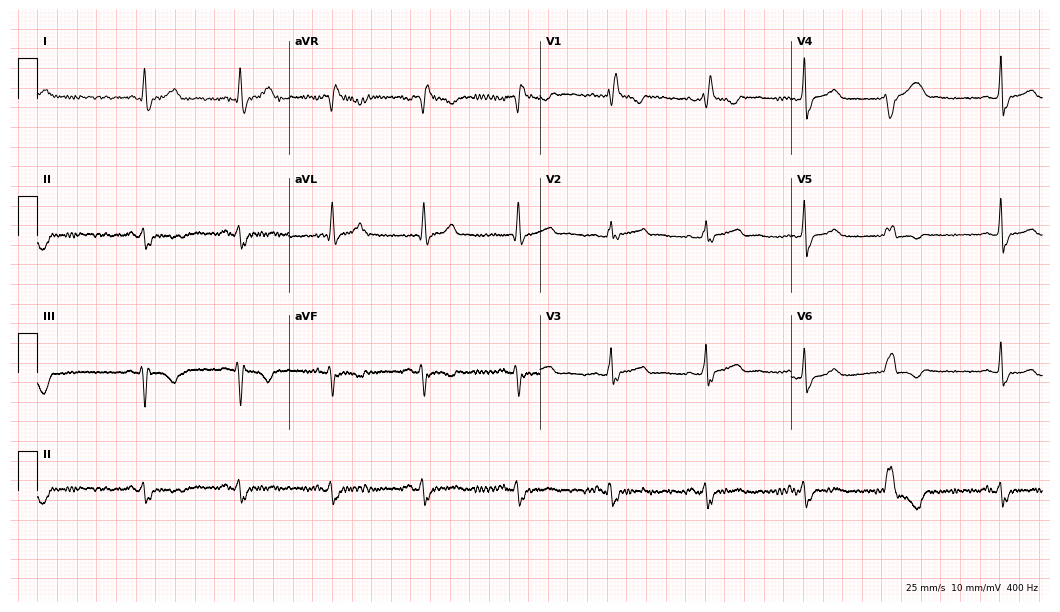
12-lead ECG from a female, 43 years old (10.2-second recording at 400 Hz). No first-degree AV block, right bundle branch block, left bundle branch block, sinus bradycardia, atrial fibrillation or sinus tachycardia recorded for this tracing. Other findings, if any, are not listed.